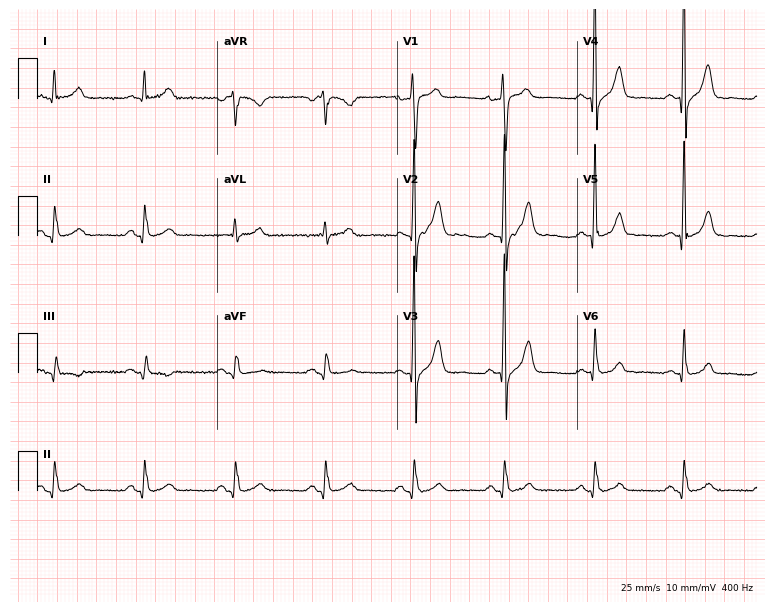
Electrocardiogram, a woman, 64 years old. Of the six screened findings (first-degree AV block, right bundle branch block (RBBB), left bundle branch block (LBBB), sinus bradycardia, atrial fibrillation (AF), sinus tachycardia), none is recorded. Findings outside these six are not listed.